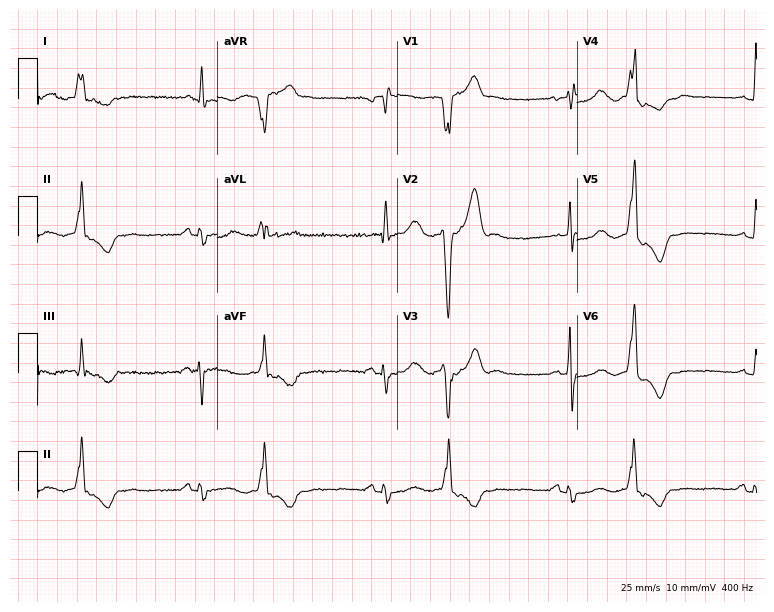
ECG — a female, 62 years old. Screened for six findings — first-degree AV block, right bundle branch block (RBBB), left bundle branch block (LBBB), sinus bradycardia, atrial fibrillation (AF), sinus tachycardia — none is recorded.